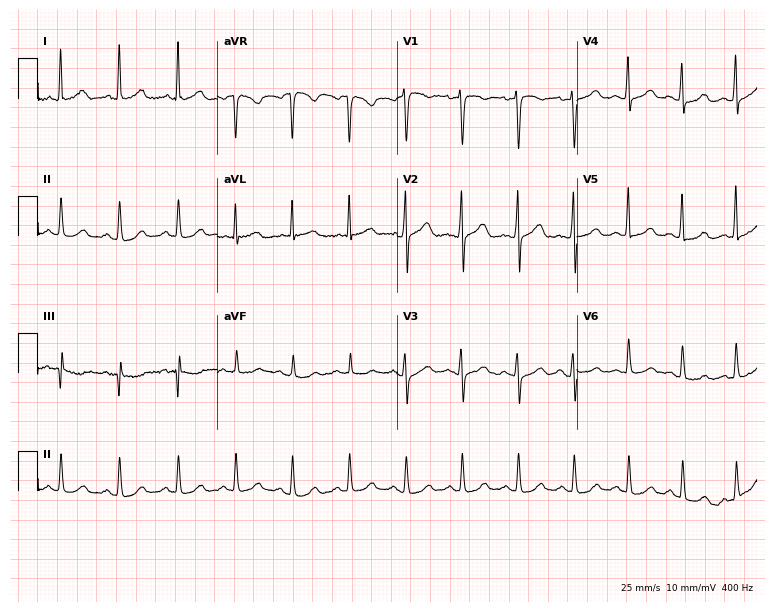
Electrocardiogram (7.3-second recording at 400 Hz), a female patient, 38 years old. Interpretation includes sinus tachycardia (a sinus rate of 100 beats per minute or more).